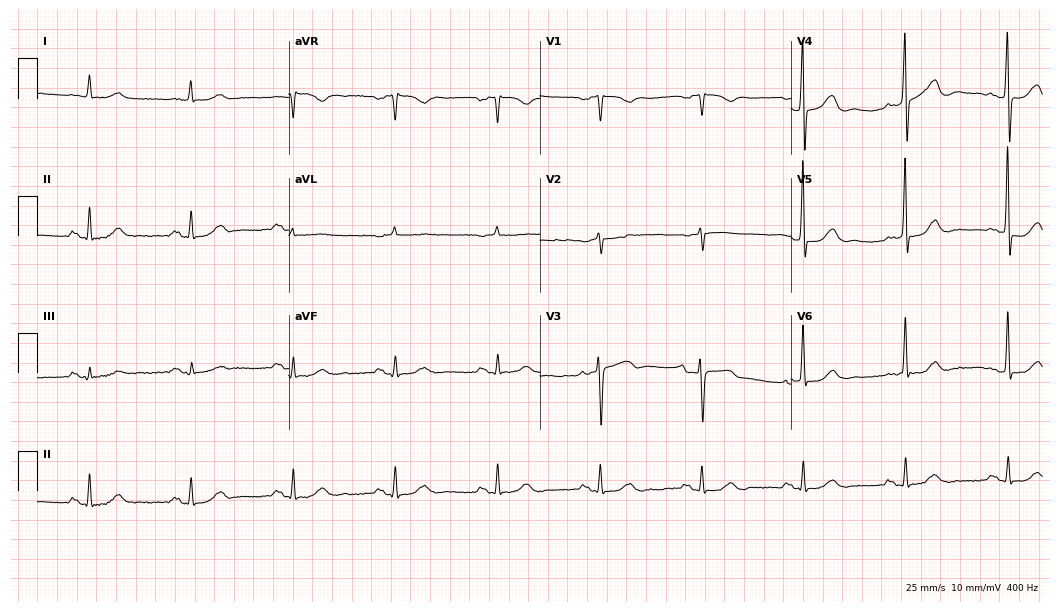
Standard 12-lead ECG recorded from a male patient, 79 years old (10.2-second recording at 400 Hz). None of these six findings is recorded: first-degree AV block, right bundle branch block (RBBB), left bundle branch block (LBBB), sinus bradycardia, atrial fibrillation (AF), sinus tachycardia. Other findings, if any, are not listed.